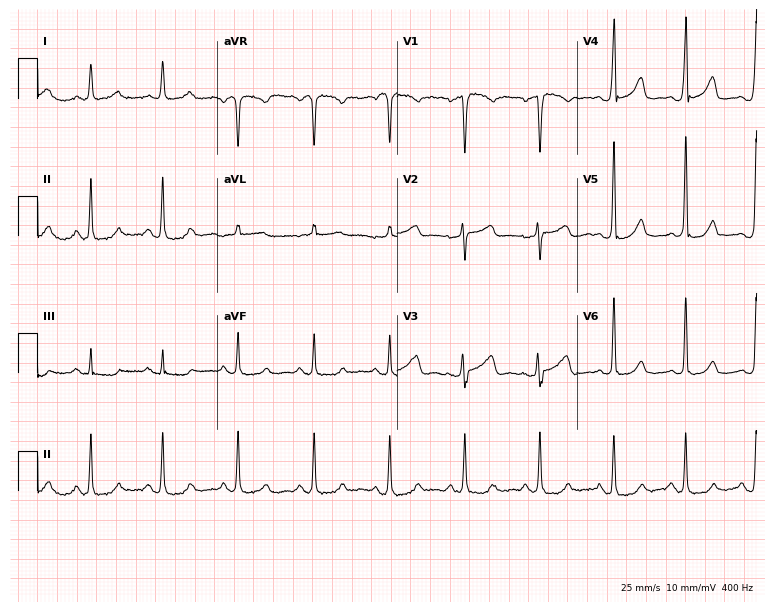
Standard 12-lead ECG recorded from a male patient, 50 years old. None of these six findings is recorded: first-degree AV block, right bundle branch block (RBBB), left bundle branch block (LBBB), sinus bradycardia, atrial fibrillation (AF), sinus tachycardia. Findings outside these six are not listed.